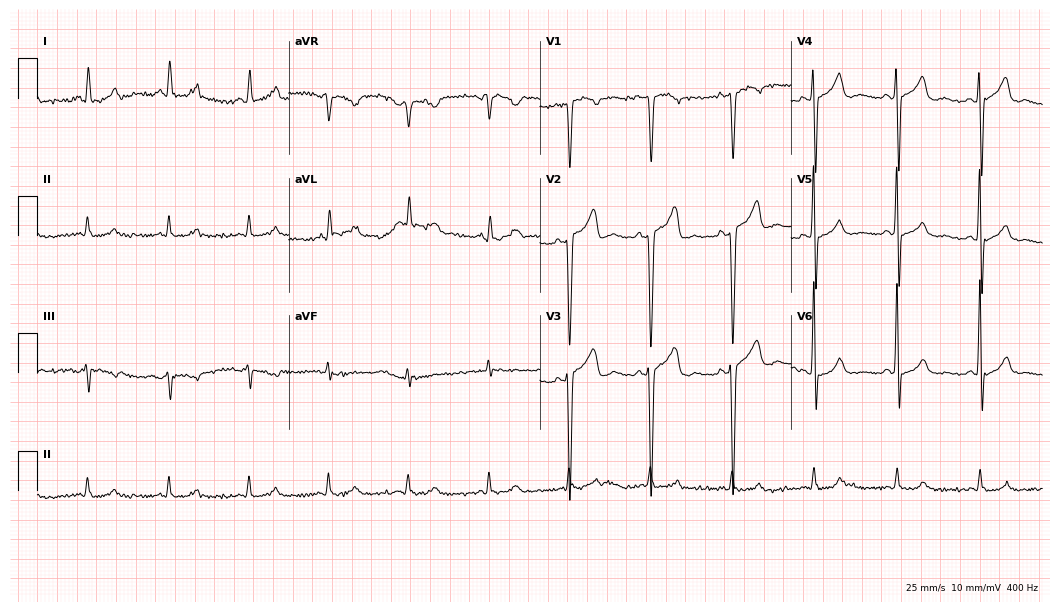
Standard 12-lead ECG recorded from a 49-year-old man (10.2-second recording at 400 Hz). Read as a normal ECG.